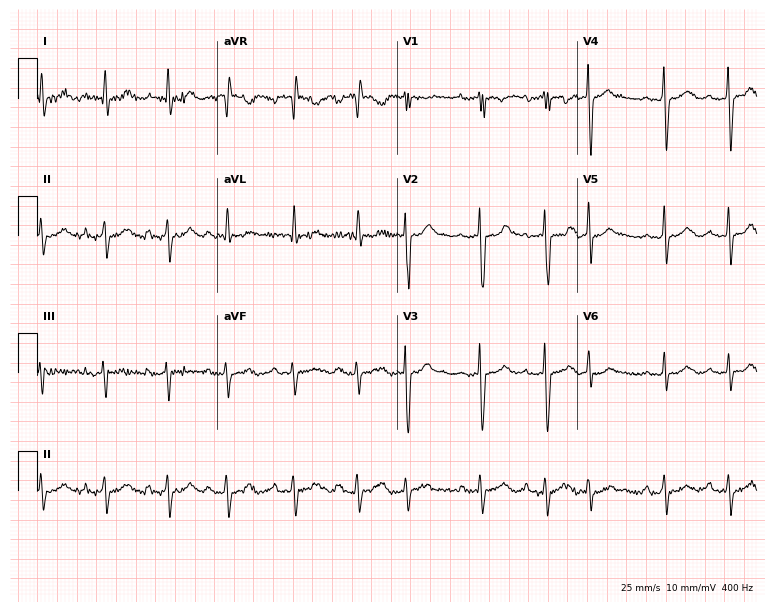
12-lead ECG from a female patient, 85 years old (7.3-second recording at 400 Hz). No first-degree AV block, right bundle branch block, left bundle branch block, sinus bradycardia, atrial fibrillation or sinus tachycardia recorded for this tracing.